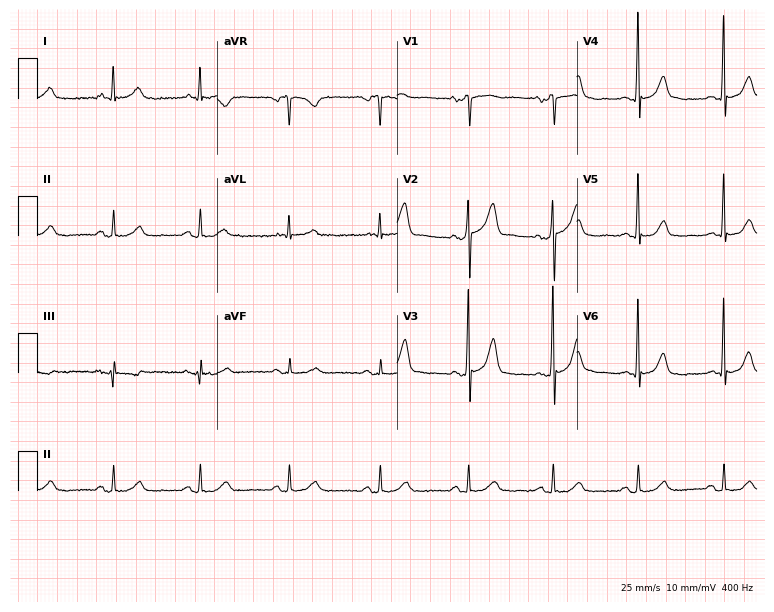
Electrocardiogram (7.3-second recording at 400 Hz), a 60-year-old male patient. Of the six screened findings (first-degree AV block, right bundle branch block, left bundle branch block, sinus bradycardia, atrial fibrillation, sinus tachycardia), none is recorded.